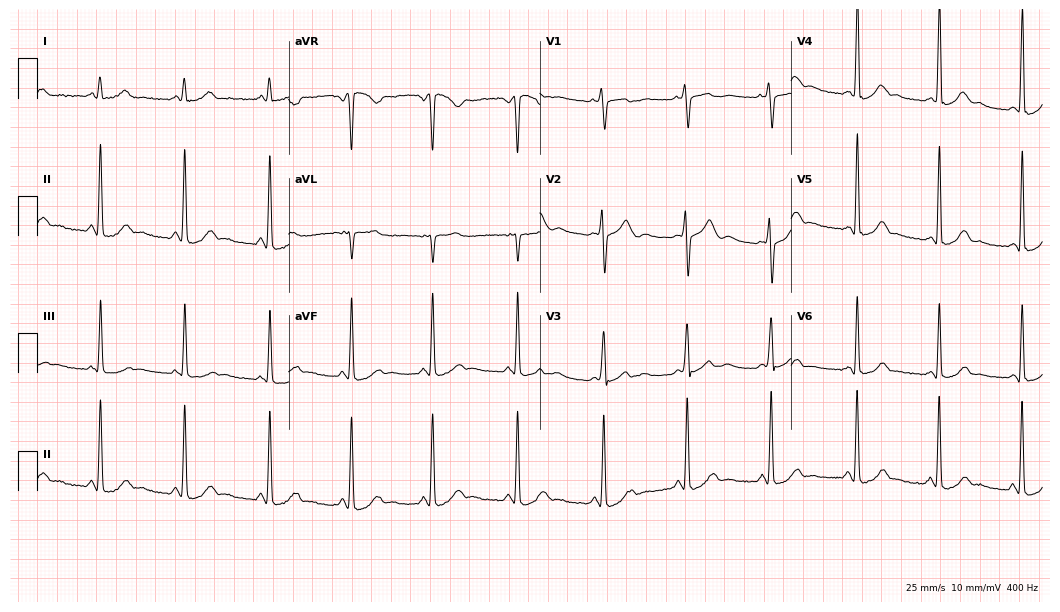
Standard 12-lead ECG recorded from a 19-year-old female (10.2-second recording at 400 Hz). Read as a normal ECG.